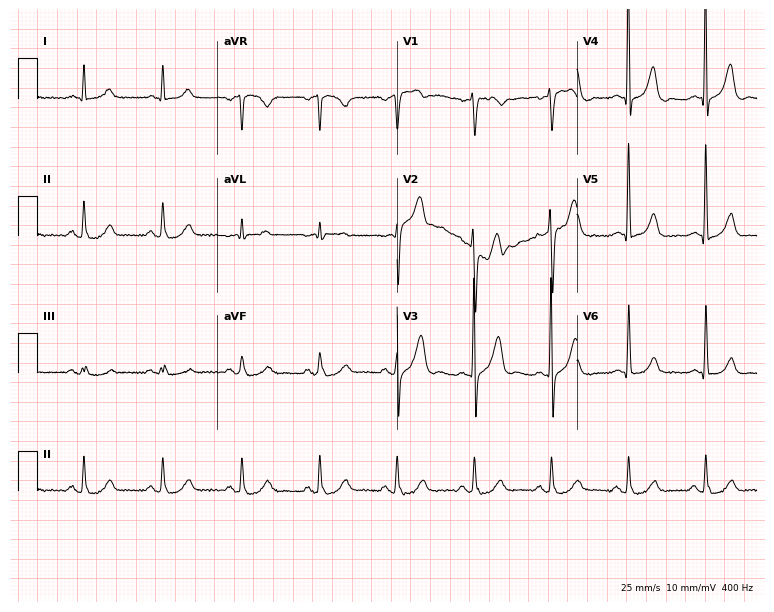
Resting 12-lead electrocardiogram (7.3-second recording at 400 Hz). Patient: a 65-year-old man. Read as a normal ECG.